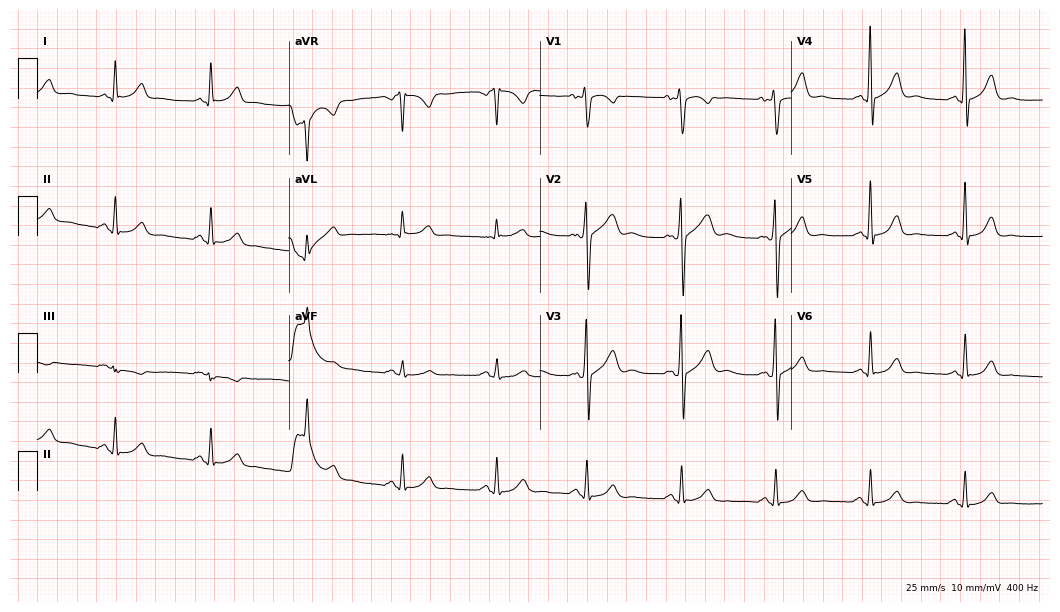
Resting 12-lead electrocardiogram. Patient: a 63-year-old male. None of these six findings is recorded: first-degree AV block, right bundle branch block, left bundle branch block, sinus bradycardia, atrial fibrillation, sinus tachycardia. Other findings, if any, are not listed.